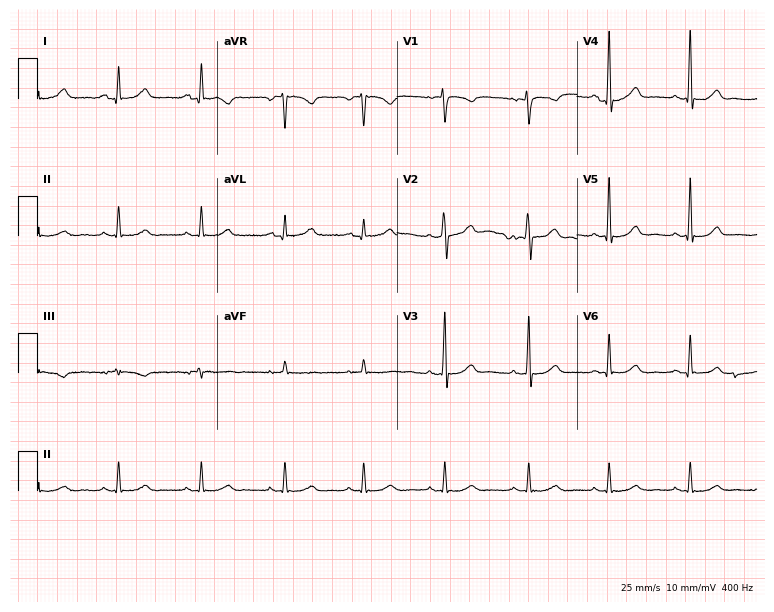
Standard 12-lead ECG recorded from a female, 46 years old. Read as a normal ECG.